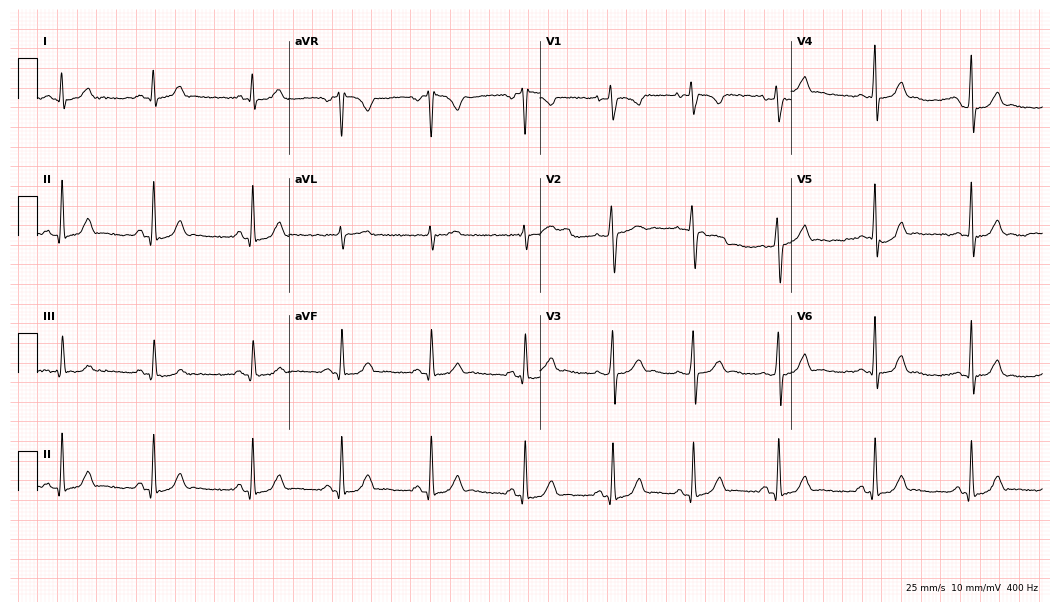
Resting 12-lead electrocardiogram. Patient: a 23-year-old female. None of these six findings is recorded: first-degree AV block, right bundle branch block, left bundle branch block, sinus bradycardia, atrial fibrillation, sinus tachycardia. Other findings, if any, are not listed.